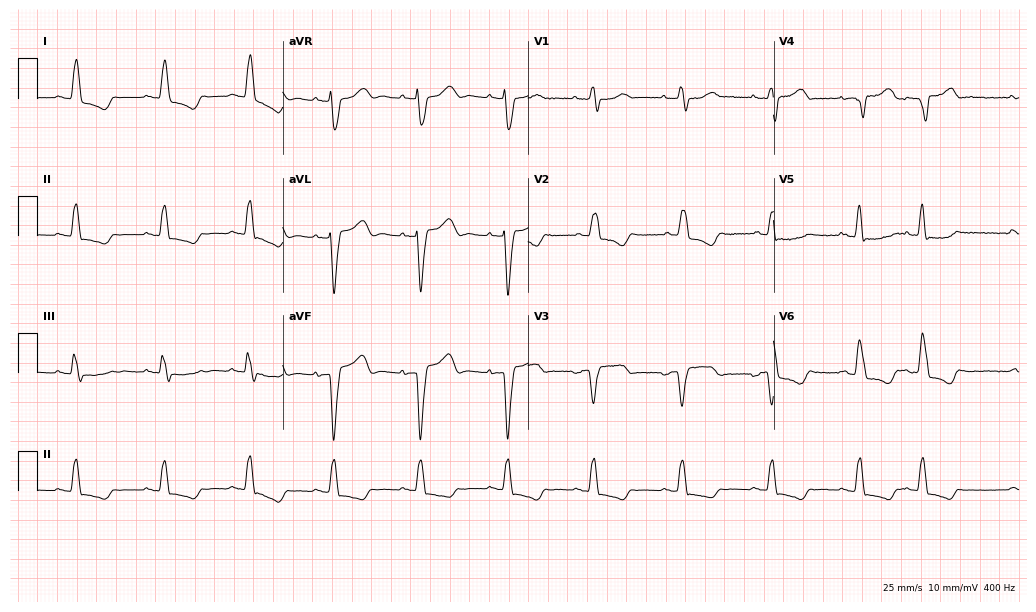
12-lead ECG (10-second recording at 400 Hz) from a 65-year-old woman. Findings include left bundle branch block.